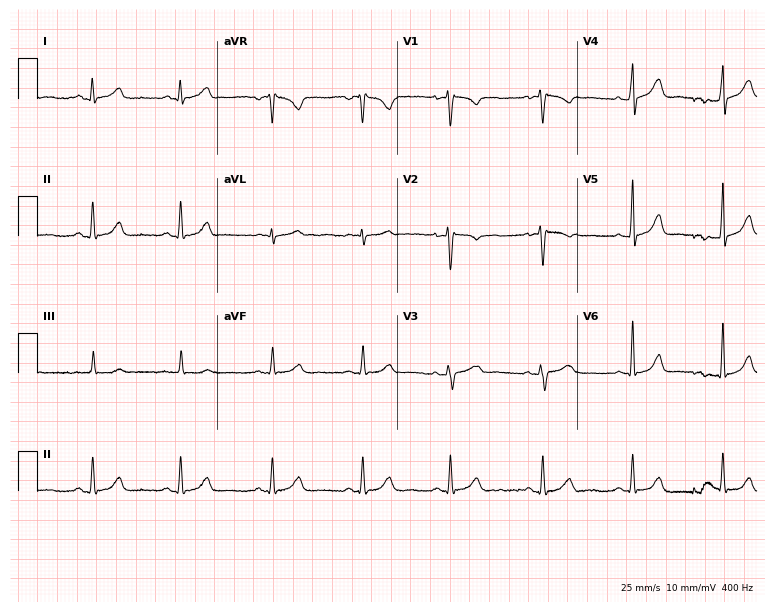
Electrocardiogram (7.3-second recording at 400 Hz), a 36-year-old female. Overall reading on record: normal ECG.